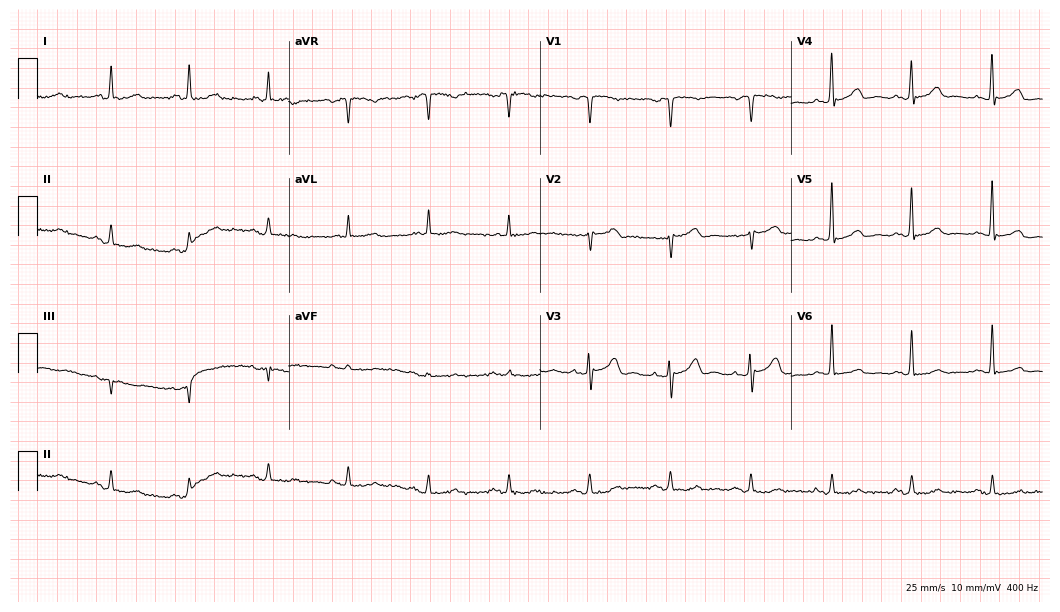
Electrocardiogram, a male patient, 80 years old. Of the six screened findings (first-degree AV block, right bundle branch block, left bundle branch block, sinus bradycardia, atrial fibrillation, sinus tachycardia), none is recorded. Findings outside these six are not listed.